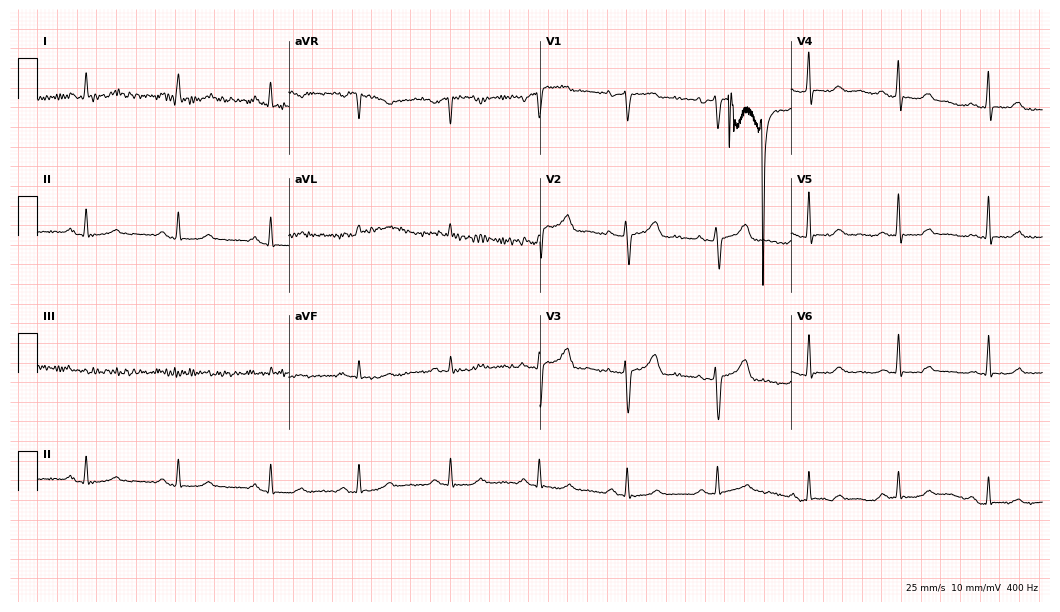
Resting 12-lead electrocardiogram. Patient: a woman, 59 years old. Read as a normal ECG.